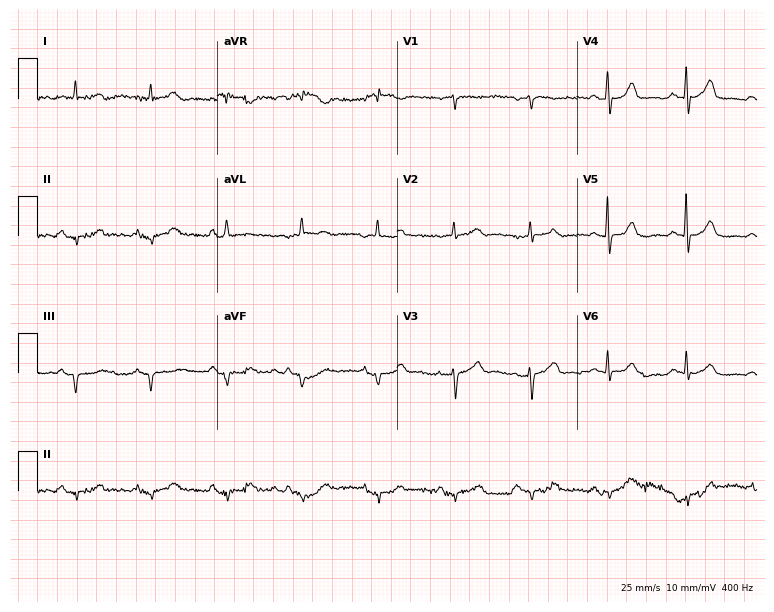
ECG (7.3-second recording at 400 Hz) — a 67-year-old man. Screened for six findings — first-degree AV block, right bundle branch block (RBBB), left bundle branch block (LBBB), sinus bradycardia, atrial fibrillation (AF), sinus tachycardia — none is recorded.